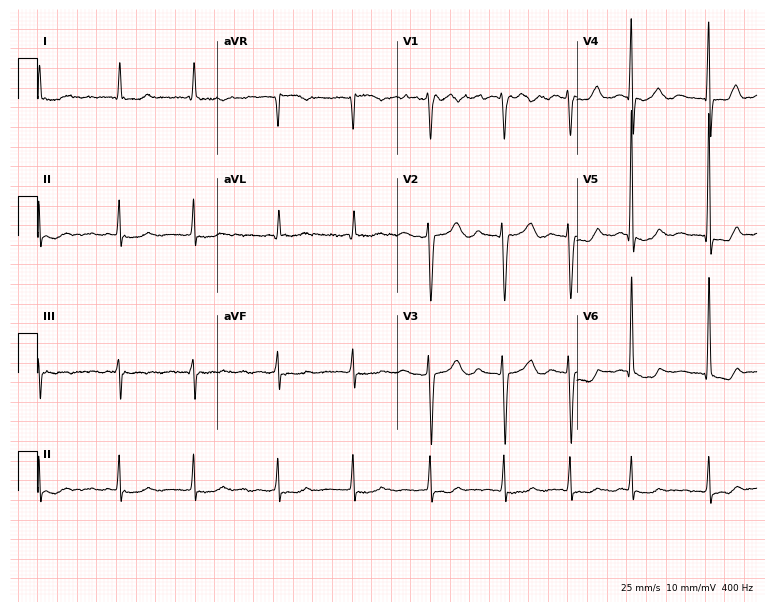
12-lead ECG from an 83-year-old female patient (7.3-second recording at 400 Hz). Shows atrial fibrillation.